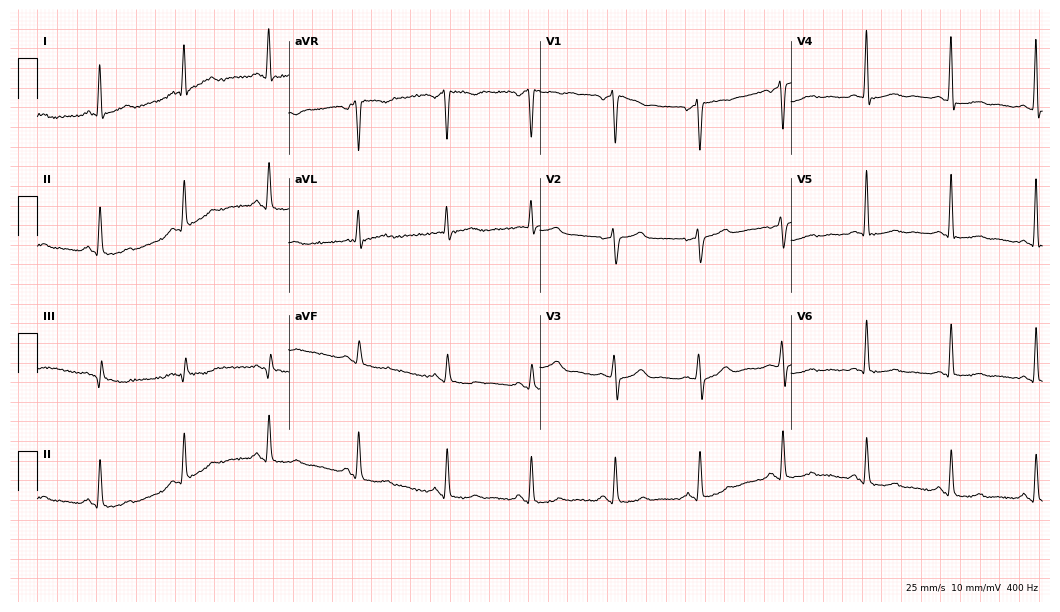
12-lead ECG from a male patient, 50 years old. Screened for six findings — first-degree AV block, right bundle branch block, left bundle branch block, sinus bradycardia, atrial fibrillation, sinus tachycardia — none is recorded. Only these six findings were labelled.